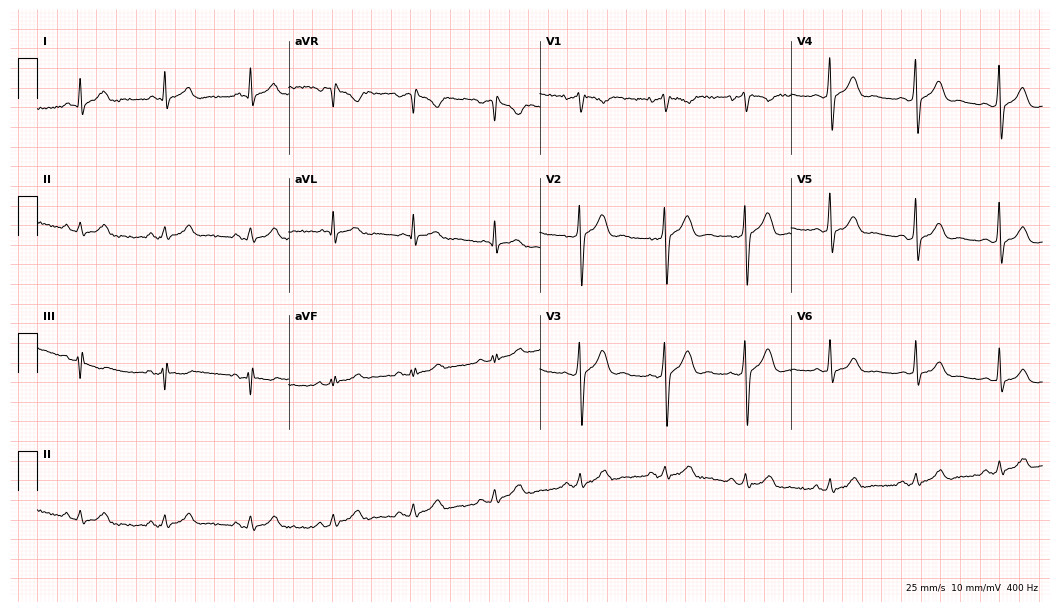
ECG (10.2-second recording at 400 Hz) — a male patient, 31 years old. Labelled as a normal ECG.